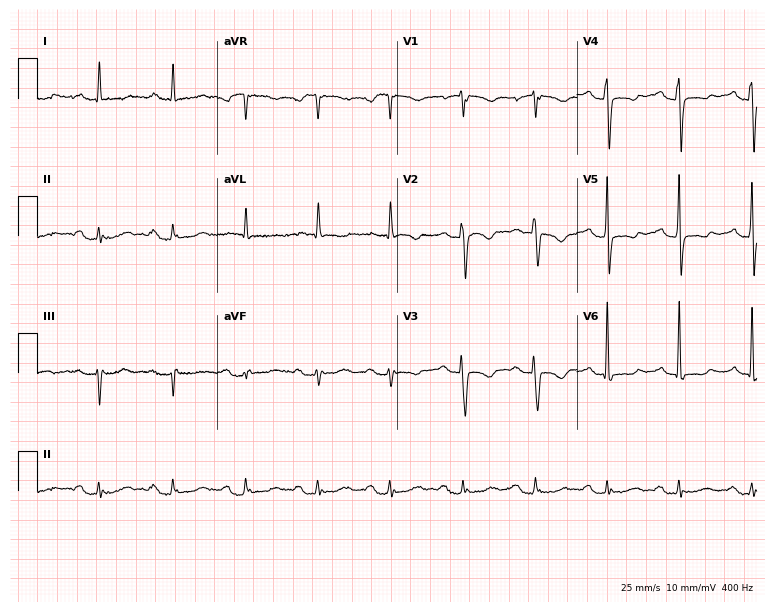
Resting 12-lead electrocardiogram. Patient: a 78-year-old female. None of these six findings is recorded: first-degree AV block, right bundle branch block, left bundle branch block, sinus bradycardia, atrial fibrillation, sinus tachycardia.